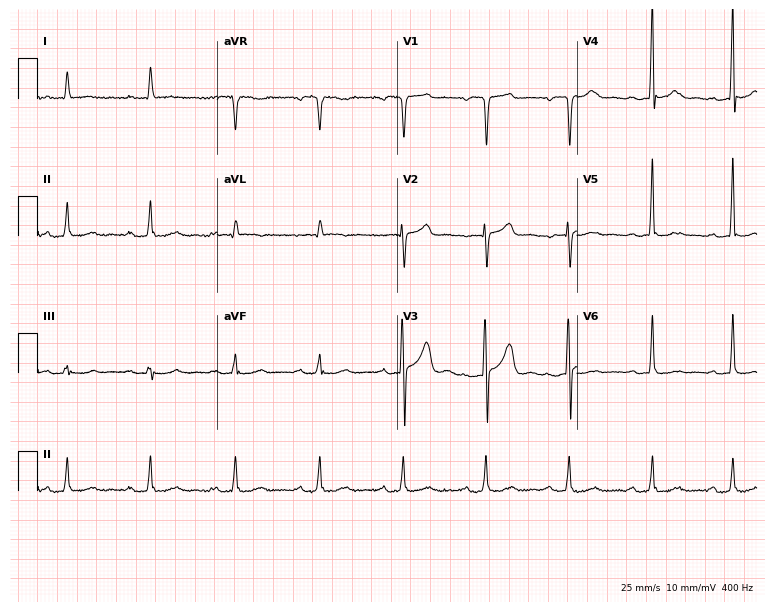
12-lead ECG from a man, 80 years old. No first-degree AV block, right bundle branch block (RBBB), left bundle branch block (LBBB), sinus bradycardia, atrial fibrillation (AF) or sinus tachycardia recorded for this tracing.